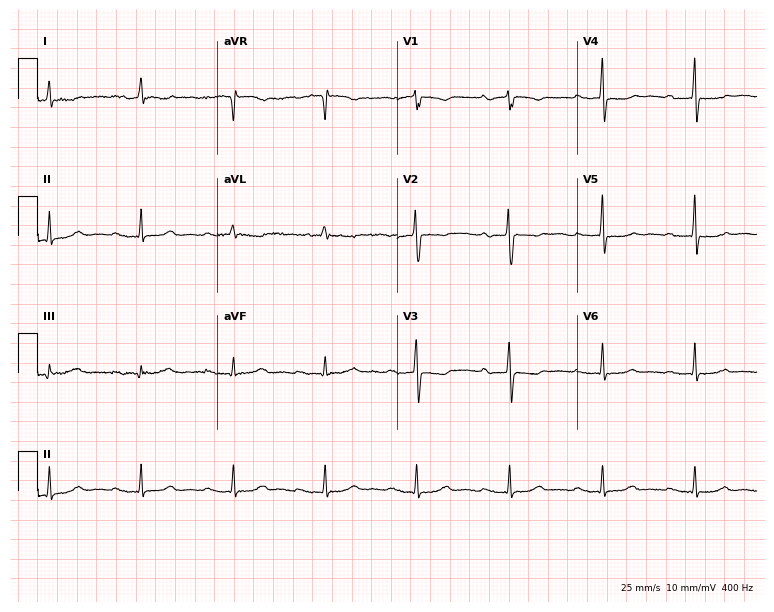
Resting 12-lead electrocardiogram (7.3-second recording at 400 Hz). Patient: a woman, 47 years old. None of these six findings is recorded: first-degree AV block, right bundle branch block, left bundle branch block, sinus bradycardia, atrial fibrillation, sinus tachycardia. Findings outside these six are not listed.